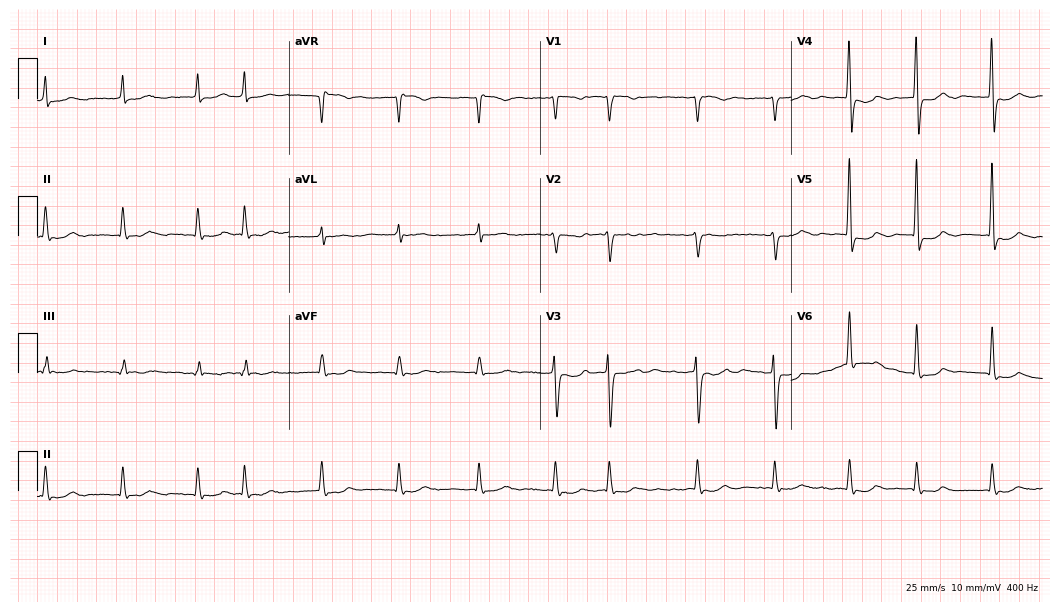
ECG (10.2-second recording at 400 Hz) — a woman, 72 years old. Findings include atrial fibrillation (AF).